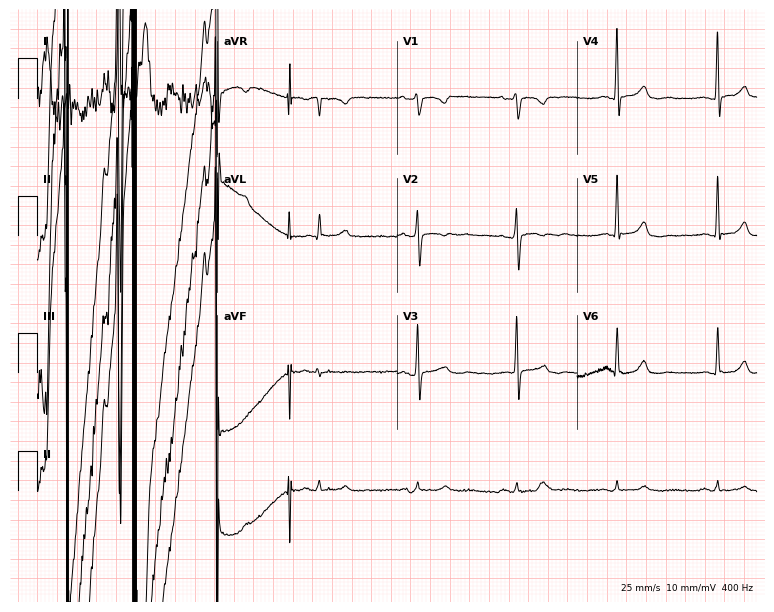
ECG (7.3-second recording at 400 Hz) — a 77-year-old man. Screened for six findings — first-degree AV block, right bundle branch block, left bundle branch block, sinus bradycardia, atrial fibrillation, sinus tachycardia — none is recorded.